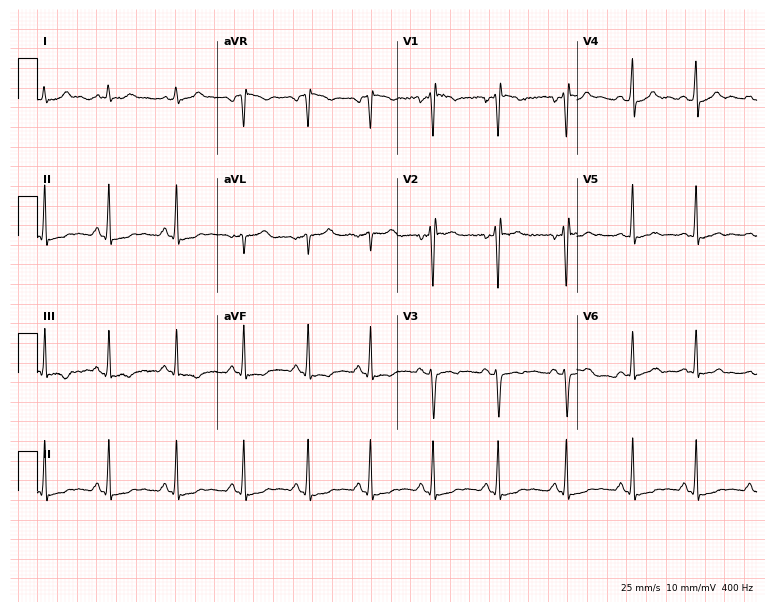
Standard 12-lead ECG recorded from a 17-year-old female patient. None of these six findings is recorded: first-degree AV block, right bundle branch block, left bundle branch block, sinus bradycardia, atrial fibrillation, sinus tachycardia. Only these six findings were labelled.